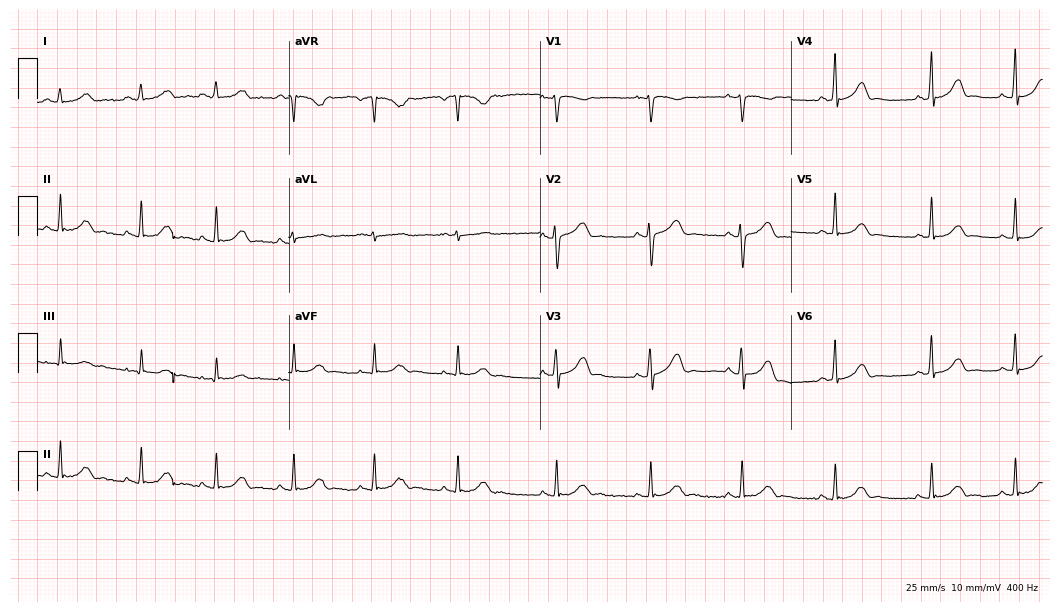
Standard 12-lead ECG recorded from a woman, 32 years old (10.2-second recording at 400 Hz). Read as a normal ECG.